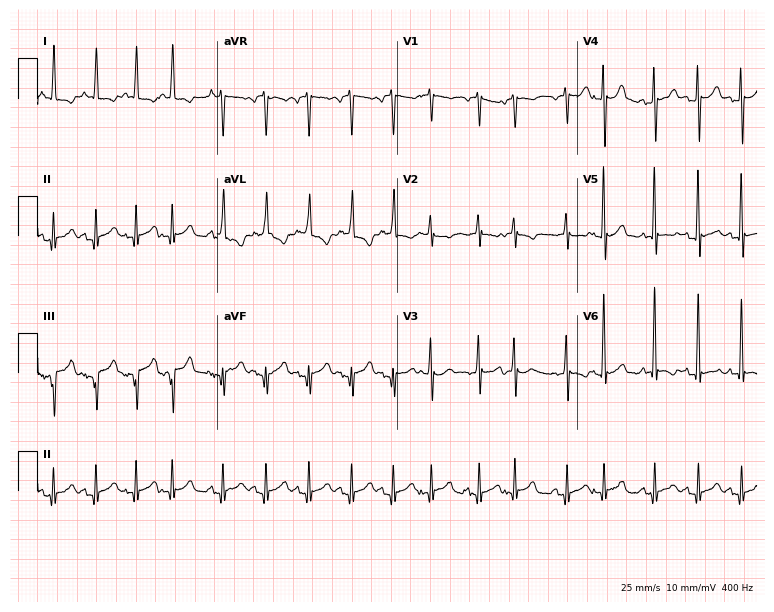
Standard 12-lead ECG recorded from a male patient, 69 years old (7.3-second recording at 400 Hz). The tracing shows sinus tachycardia (a sinus rate of 100 beats per minute or more).